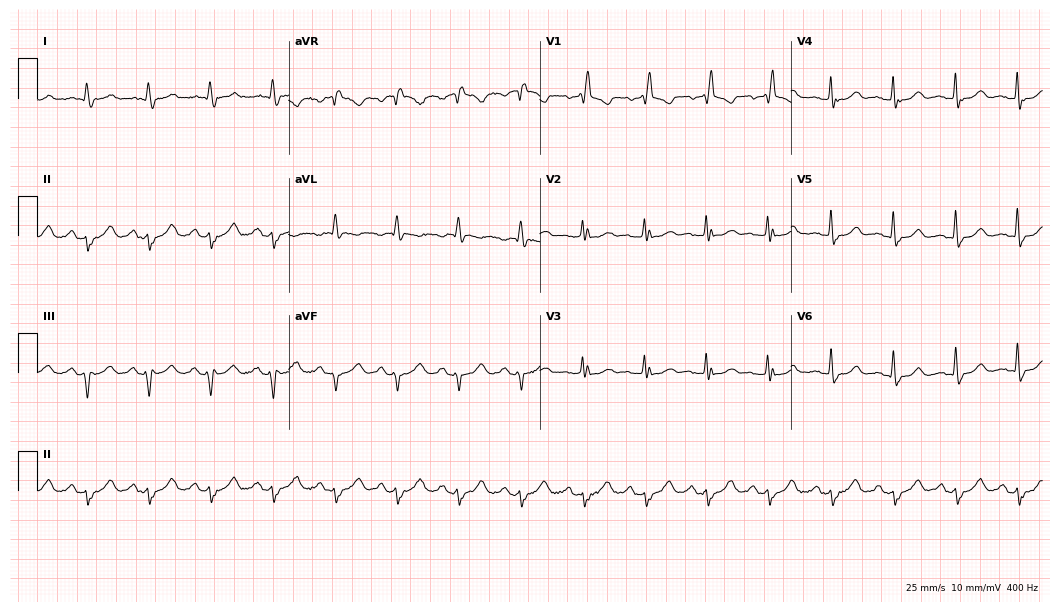
12-lead ECG (10.2-second recording at 400 Hz) from an 86-year-old male patient. Findings include right bundle branch block.